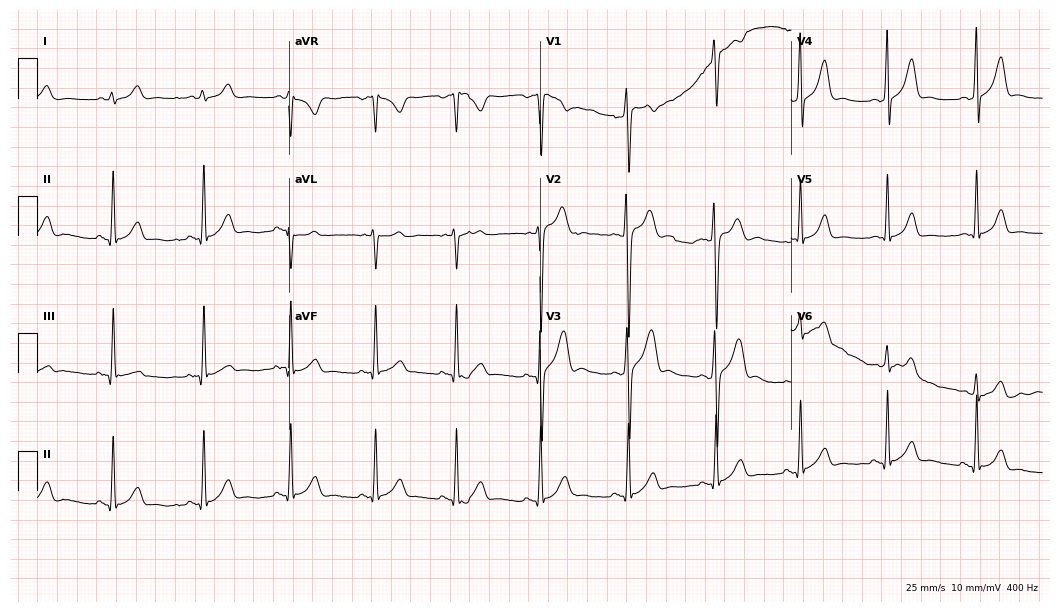
Electrocardiogram (10.2-second recording at 400 Hz), a male patient, 20 years old. Of the six screened findings (first-degree AV block, right bundle branch block (RBBB), left bundle branch block (LBBB), sinus bradycardia, atrial fibrillation (AF), sinus tachycardia), none is recorded. Only these six findings were labelled.